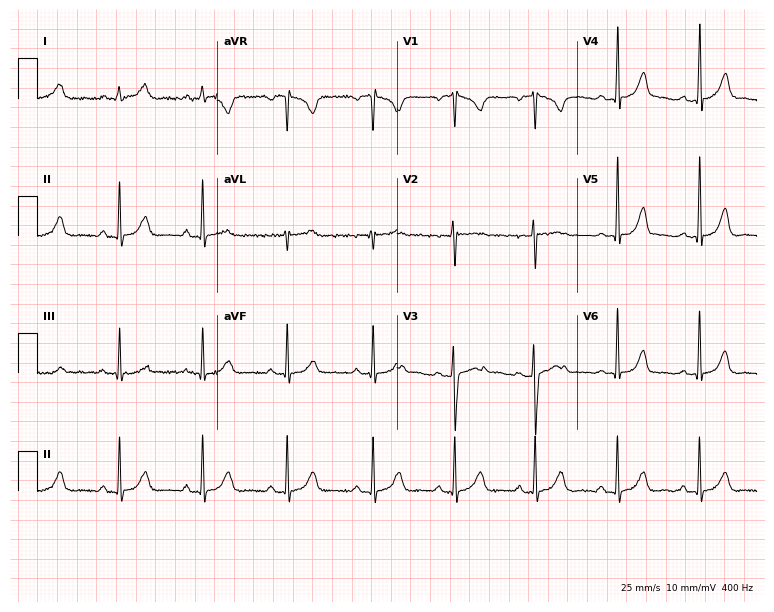
ECG — a 33-year-old female patient. Screened for six findings — first-degree AV block, right bundle branch block, left bundle branch block, sinus bradycardia, atrial fibrillation, sinus tachycardia — none is recorded.